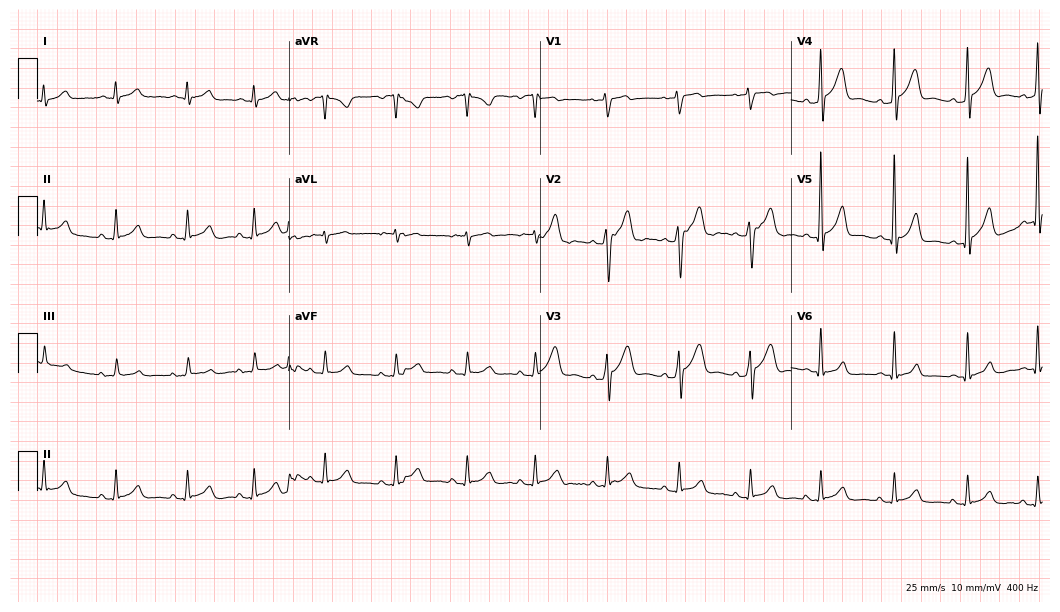
Standard 12-lead ECG recorded from a 60-year-old male. Read as a normal ECG.